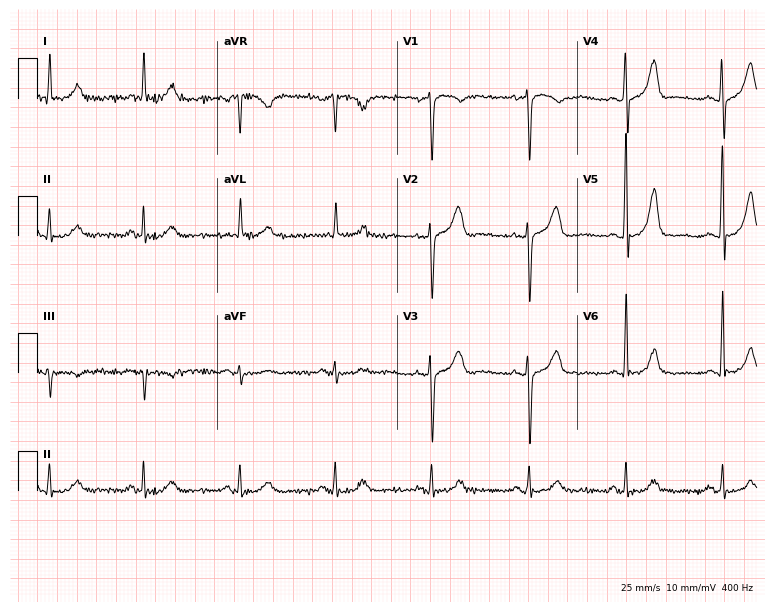
Electrocardiogram (7.3-second recording at 400 Hz), a male, 77 years old. Overall reading on record: normal ECG.